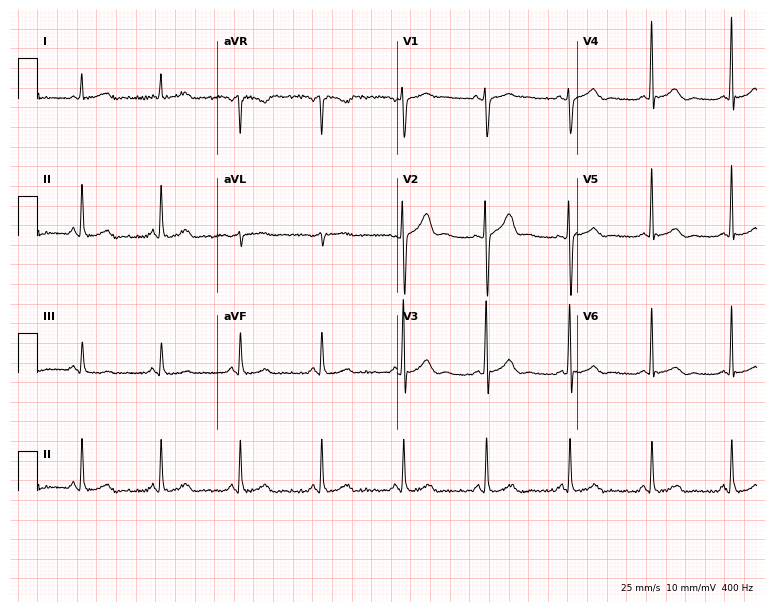
Resting 12-lead electrocardiogram (7.3-second recording at 400 Hz). Patient: a 56-year-old female. Read as a normal ECG.